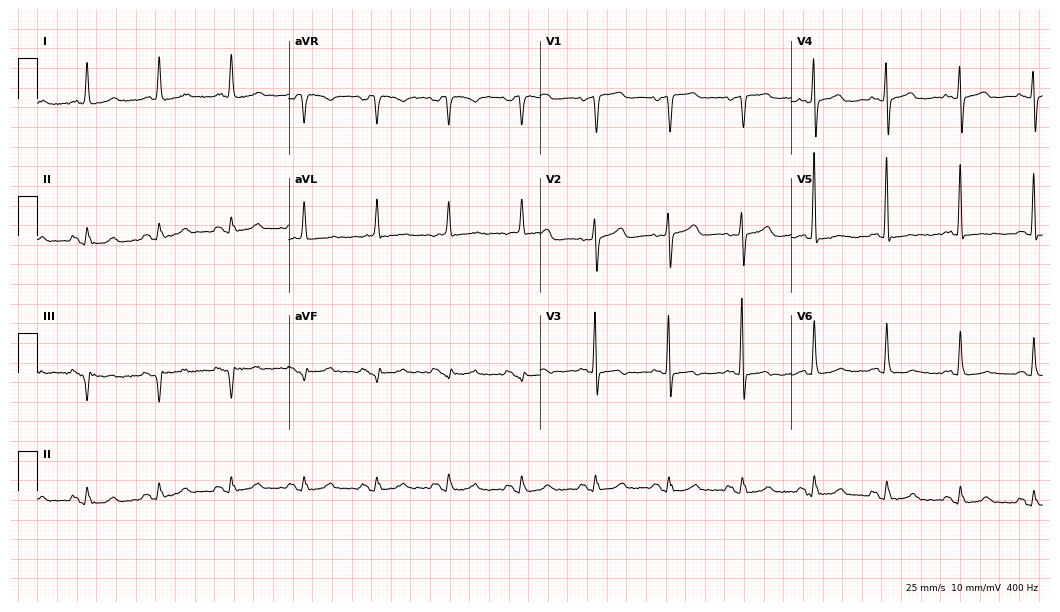
12-lead ECG from a female, 77 years old. No first-degree AV block, right bundle branch block (RBBB), left bundle branch block (LBBB), sinus bradycardia, atrial fibrillation (AF) or sinus tachycardia recorded for this tracing.